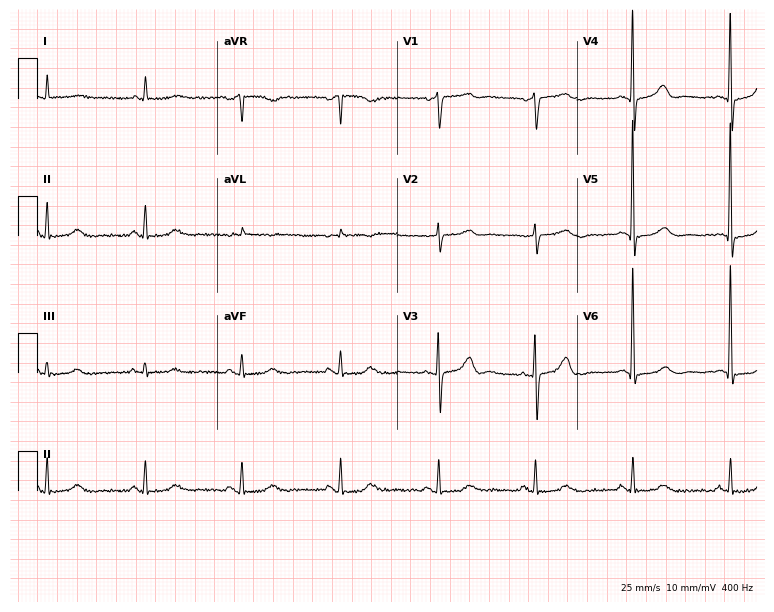
Standard 12-lead ECG recorded from an 85-year-old male patient. Read as a normal ECG.